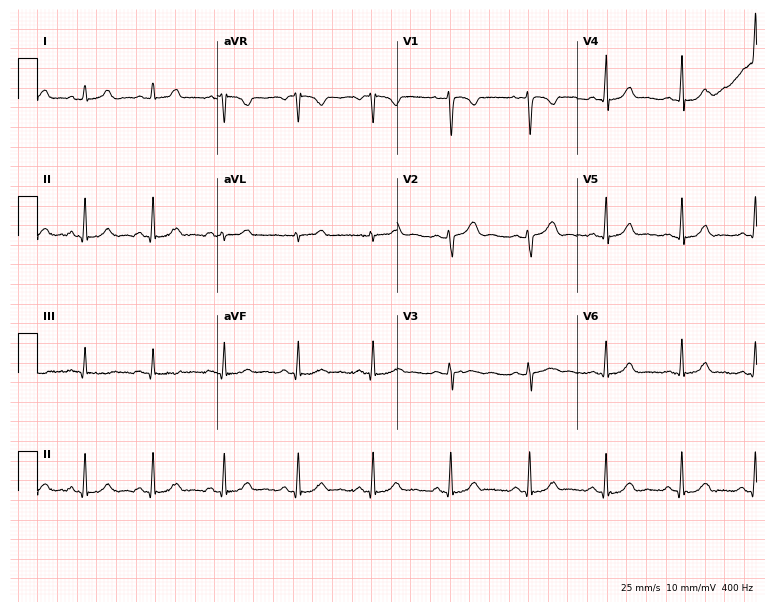
12-lead ECG (7.3-second recording at 400 Hz) from a 24-year-old woman. Labelled as a normal ECG.